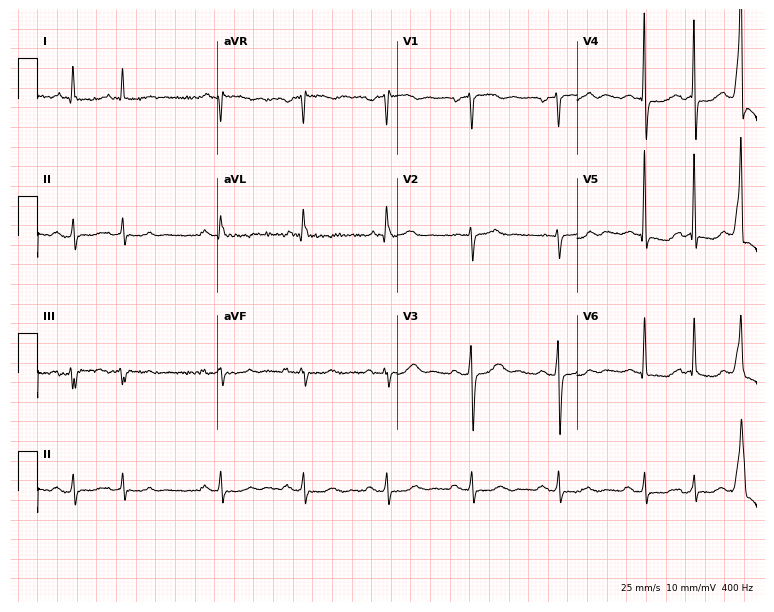
Resting 12-lead electrocardiogram (7.3-second recording at 400 Hz). Patient: a male, 64 years old. None of these six findings is recorded: first-degree AV block, right bundle branch block, left bundle branch block, sinus bradycardia, atrial fibrillation, sinus tachycardia. Findings outside these six are not listed.